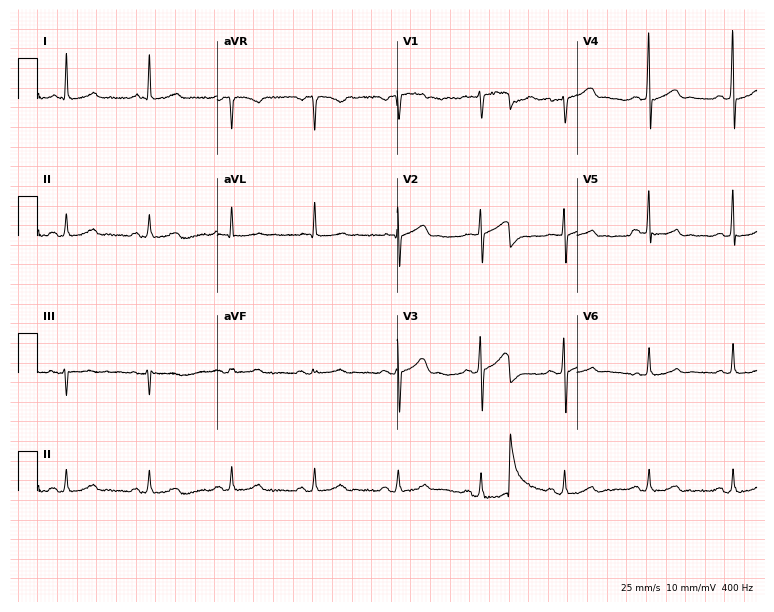
Standard 12-lead ECG recorded from a man, 69 years old. Read as a normal ECG.